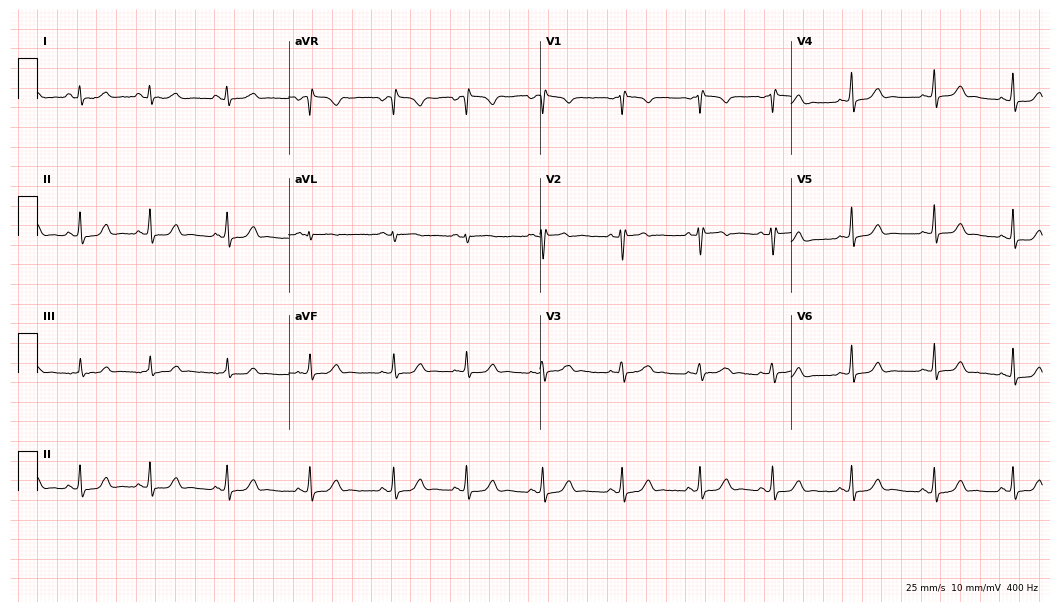
Electrocardiogram, a woman, 26 years old. Of the six screened findings (first-degree AV block, right bundle branch block, left bundle branch block, sinus bradycardia, atrial fibrillation, sinus tachycardia), none is recorded. Only these six findings were labelled.